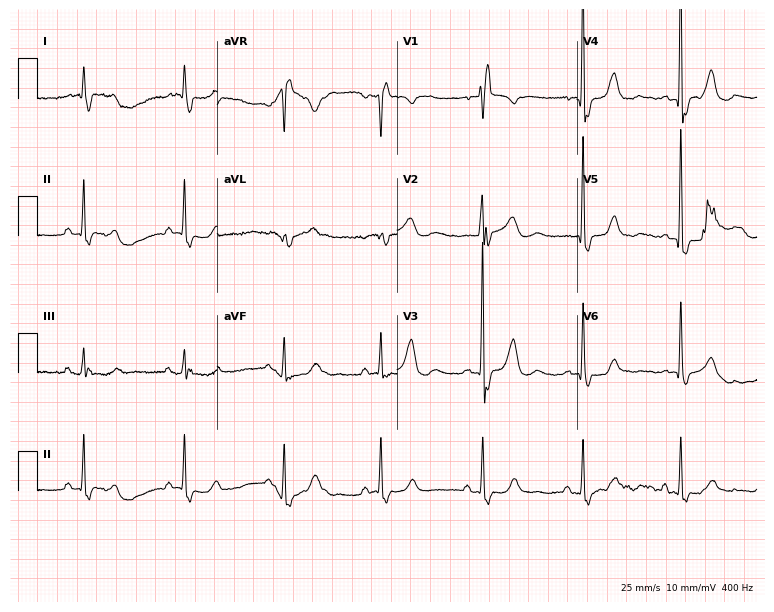
12-lead ECG from a woman, 73 years old. Shows right bundle branch block (RBBB).